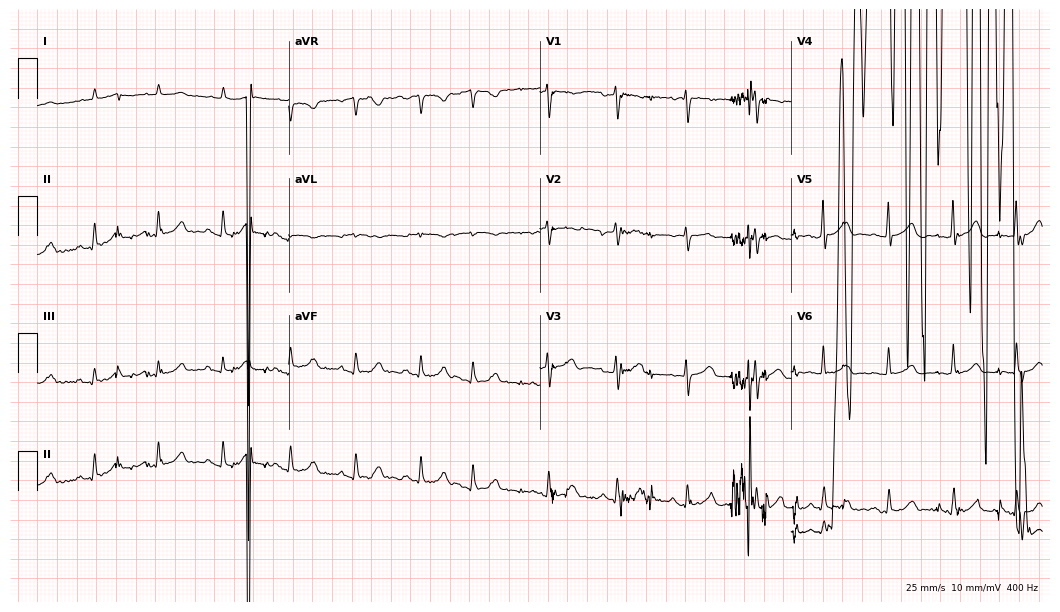
12-lead ECG from an 81-year-old woman. No first-degree AV block, right bundle branch block, left bundle branch block, sinus bradycardia, atrial fibrillation or sinus tachycardia recorded for this tracing. Other findings, if any, are not listed.